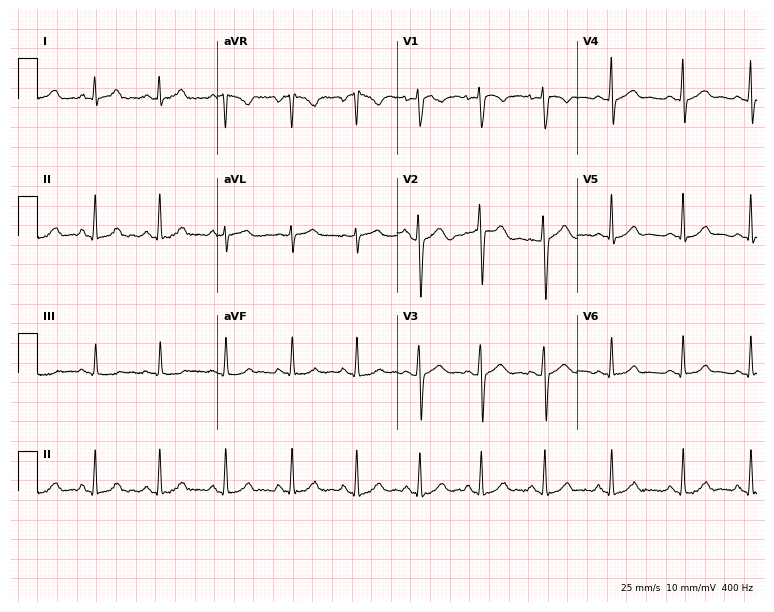
ECG (7.3-second recording at 400 Hz) — a female patient, 21 years old. Labelled as a normal ECG.